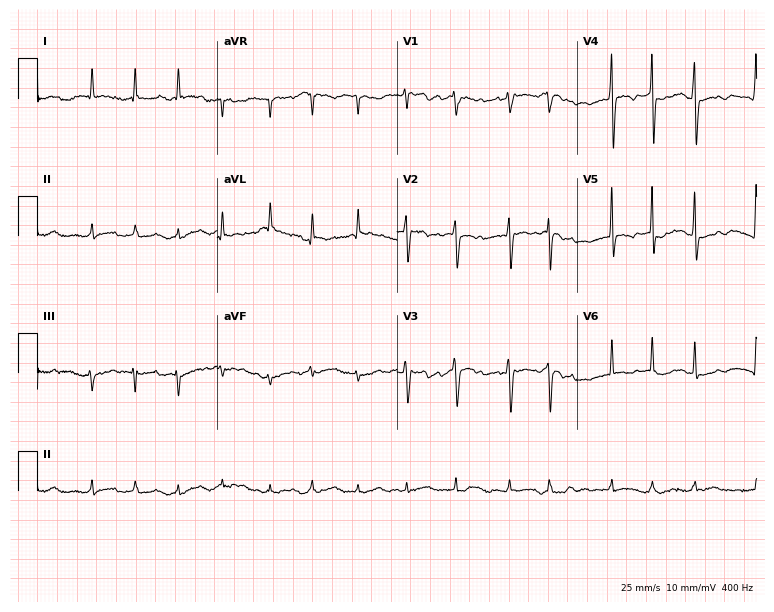
Electrocardiogram (7.3-second recording at 400 Hz), a woman, 83 years old. Interpretation includes atrial fibrillation.